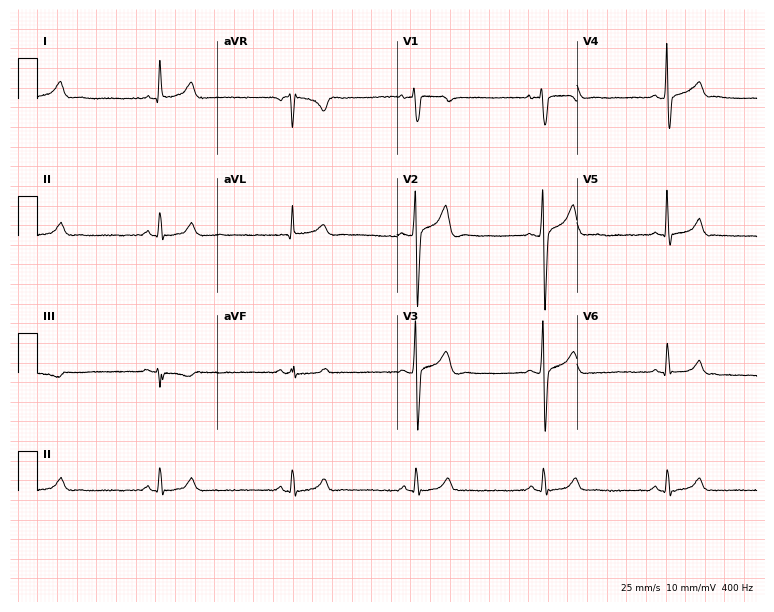
Standard 12-lead ECG recorded from a male, 43 years old. The tracing shows sinus bradycardia (a sinus rate of 50 beats per minute or less).